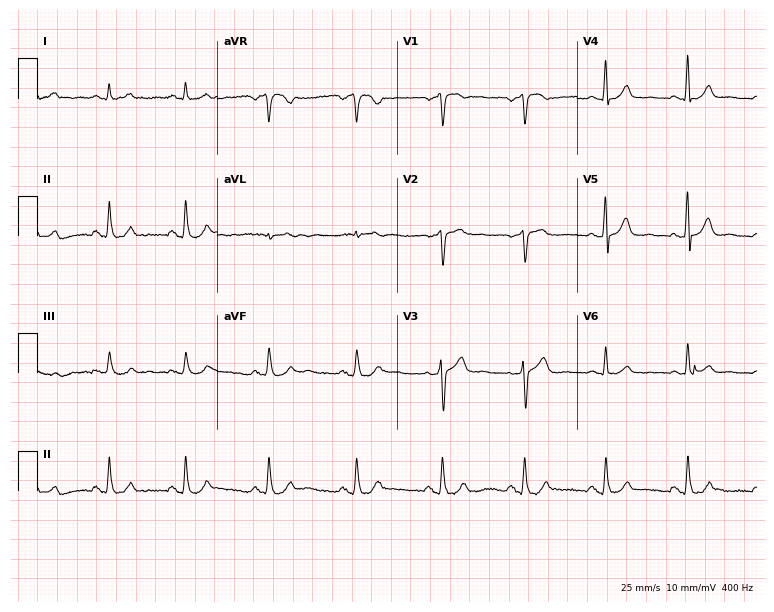
Resting 12-lead electrocardiogram. Patient: a 53-year-old male. Read as a normal ECG.